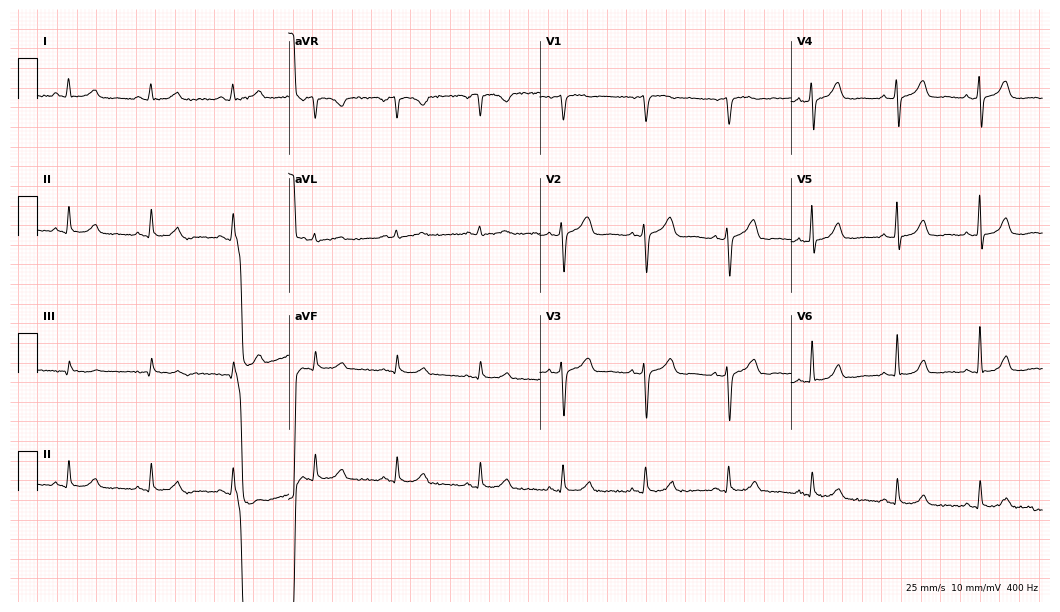
12-lead ECG from a man, 80 years old (10.2-second recording at 400 Hz). Recorded interpretation: within normal limits.